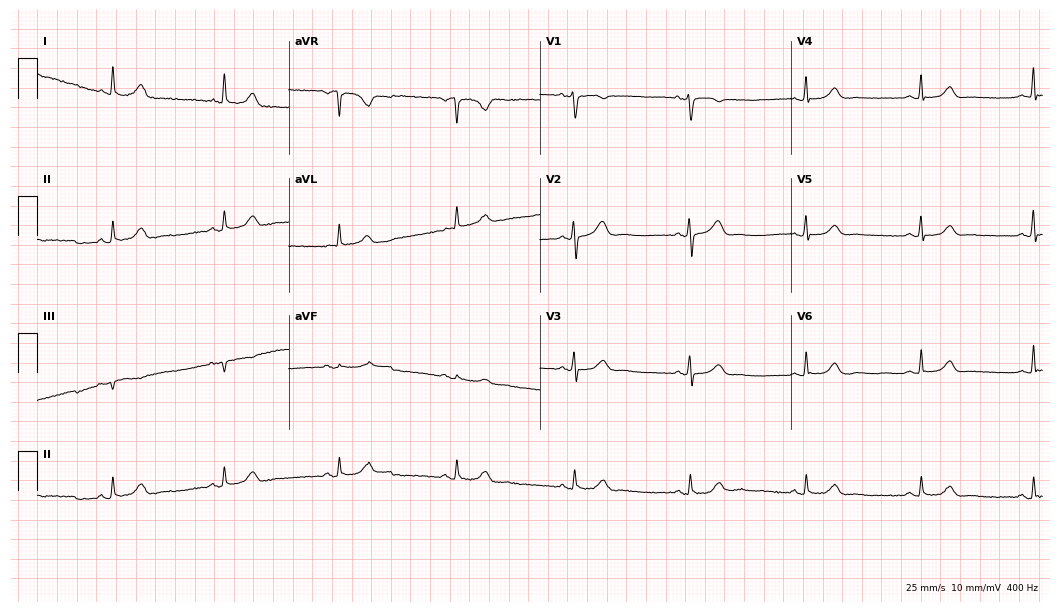
Electrocardiogram, a 57-year-old woman. Overall reading on record: normal ECG.